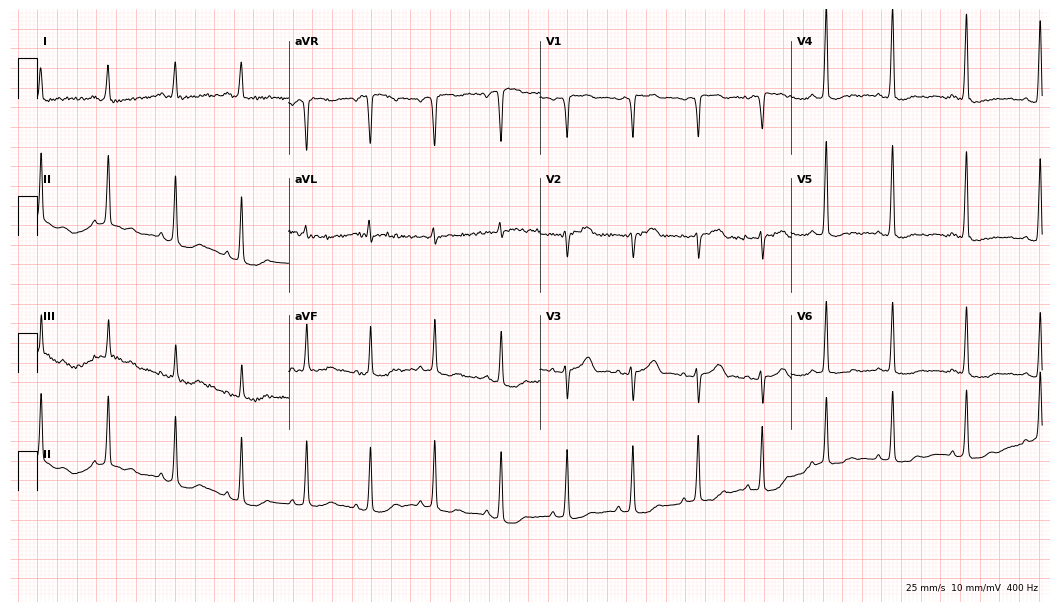
Standard 12-lead ECG recorded from an 80-year-old female. None of these six findings is recorded: first-degree AV block, right bundle branch block, left bundle branch block, sinus bradycardia, atrial fibrillation, sinus tachycardia. Findings outside these six are not listed.